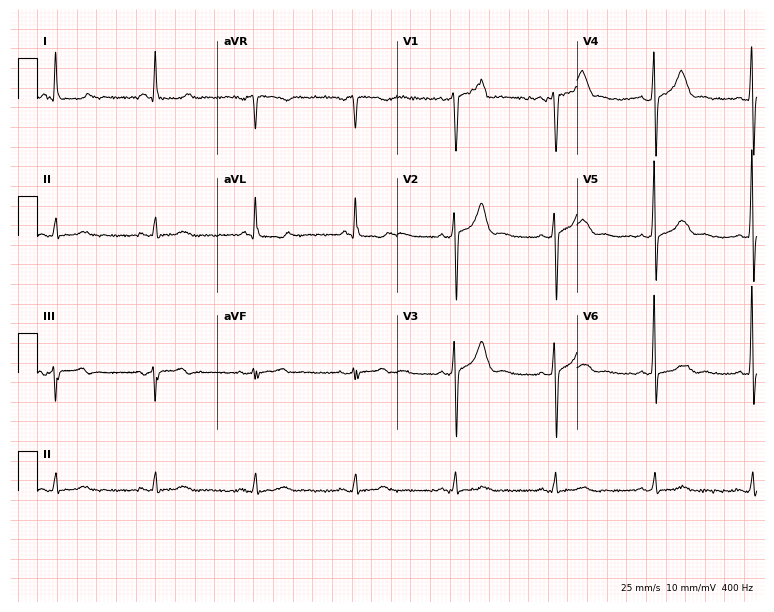
ECG — a man, 57 years old. Screened for six findings — first-degree AV block, right bundle branch block, left bundle branch block, sinus bradycardia, atrial fibrillation, sinus tachycardia — none is recorded. Findings outside these six are not listed.